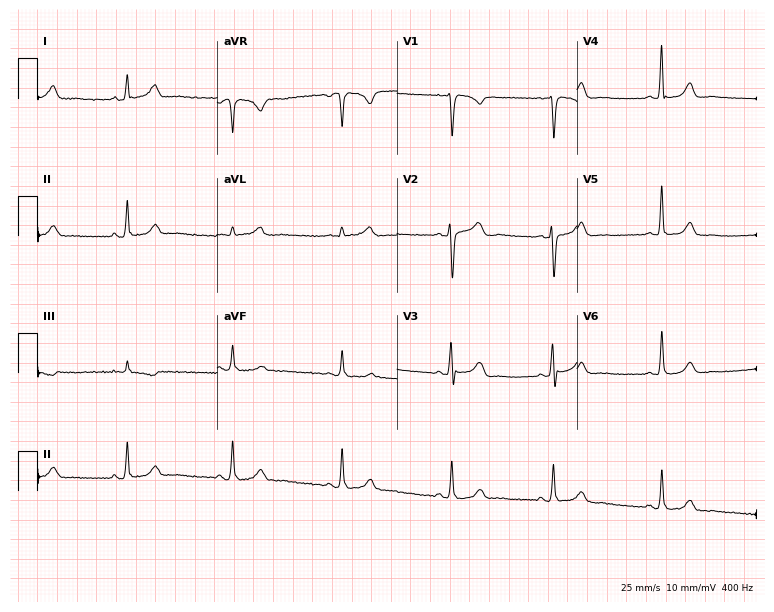
12-lead ECG from a 47-year-old man (7.3-second recording at 400 Hz). No first-degree AV block, right bundle branch block, left bundle branch block, sinus bradycardia, atrial fibrillation or sinus tachycardia recorded for this tracing.